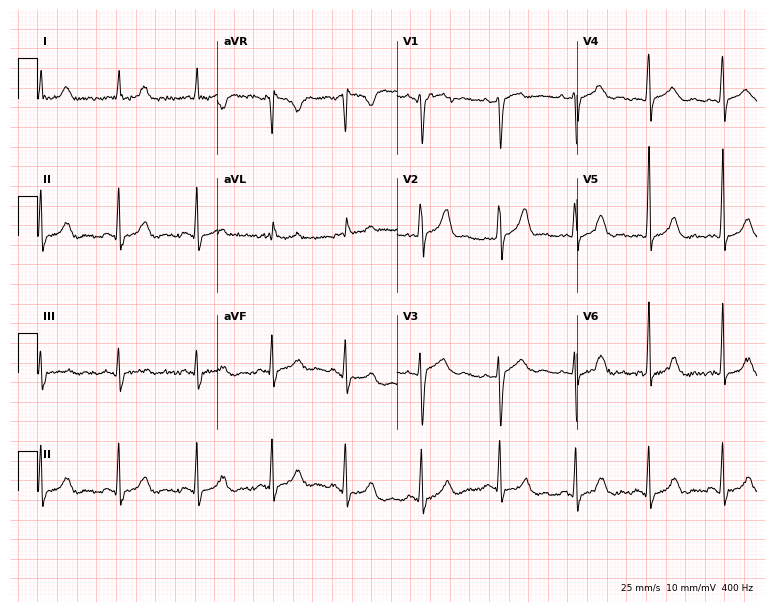
12-lead ECG (7.3-second recording at 400 Hz) from a 32-year-old female patient. Labelled as a normal ECG.